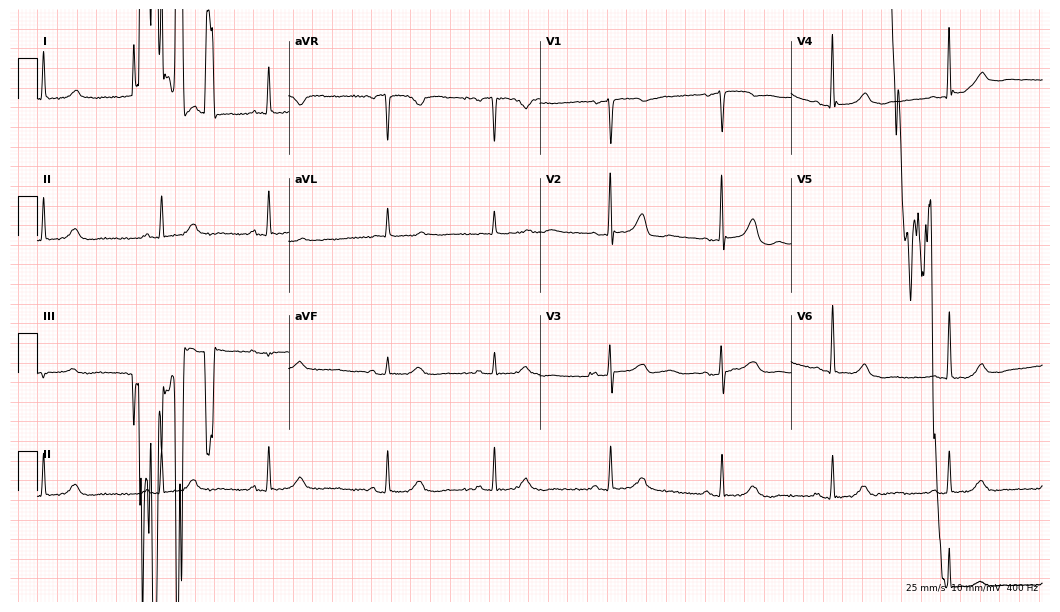
12-lead ECG (10.2-second recording at 400 Hz) from a female, 76 years old. Labelled as a normal ECG.